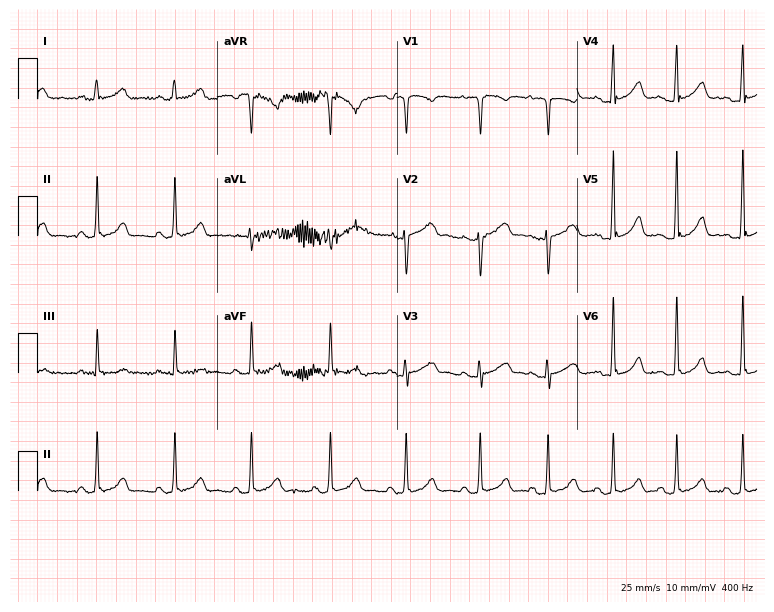
Resting 12-lead electrocardiogram (7.3-second recording at 400 Hz). Patient: a 24-year-old woman. Read as a normal ECG.